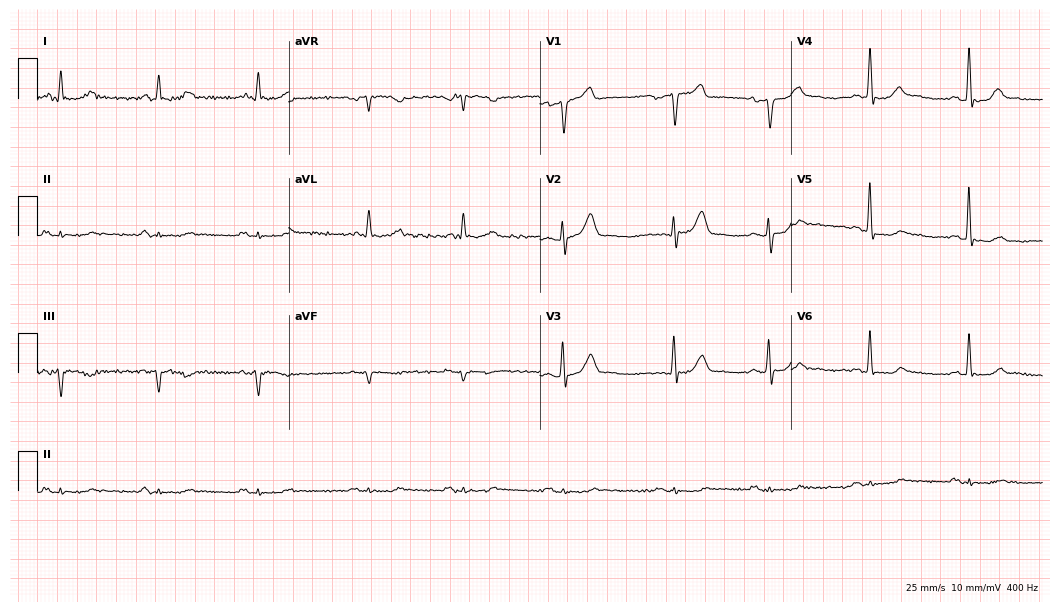
ECG (10.2-second recording at 400 Hz) — a male, 80 years old. Screened for six findings — first-degree AV block, right bundle branch block (RBBB), left bundle branch block (LBBB), sinus bradycardia, atrial fibrillation (AF), sinus tachycardia — none is recorded. Findings outside these six are not listed.